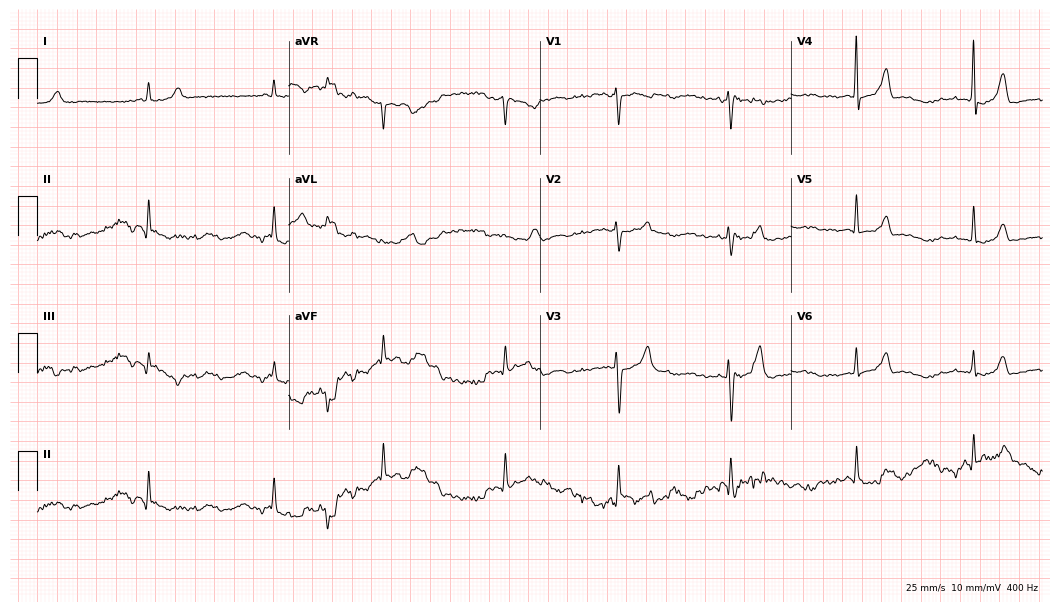
Standard 12-lead ECG recorded from a 41-year-old woman (10.2-second recording at 400 Hz). Read as a normal ECG.